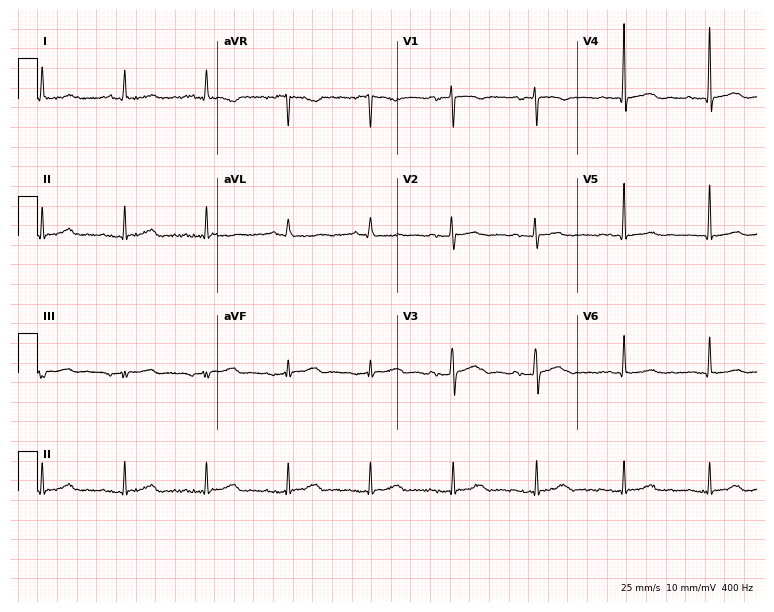
ECG (7.3-second recording at 400 Hz) — a female, 60 years old. Screened for six findings — first-degree AV block, right bundle branch block, left bundle branch block, sinus bradycardia, atrial fibrillation, sinus tachycardia — none is recorded. Other findings, if any, are not listed.